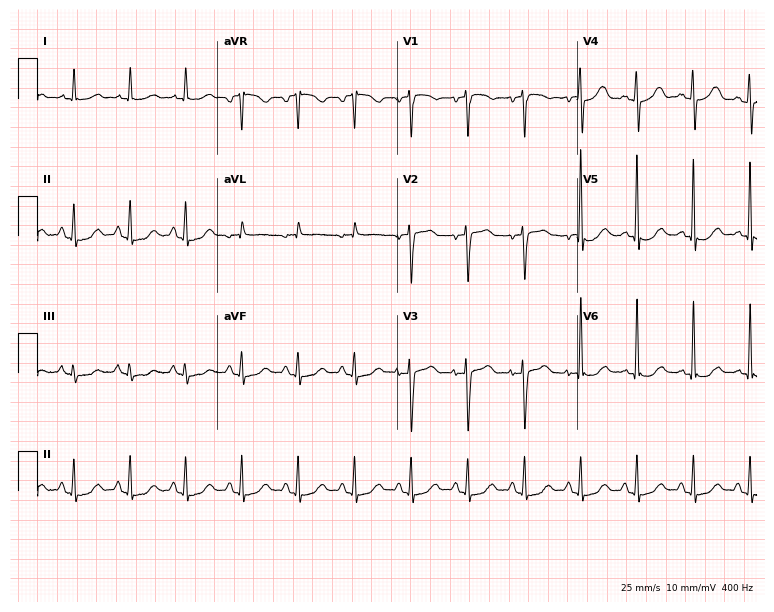
ECG (7.3-second recording at 400 Hz) — a female patient, 70 years old. Findings include sinus tachycardia (a sinus rate of 100 beats per minute or more).